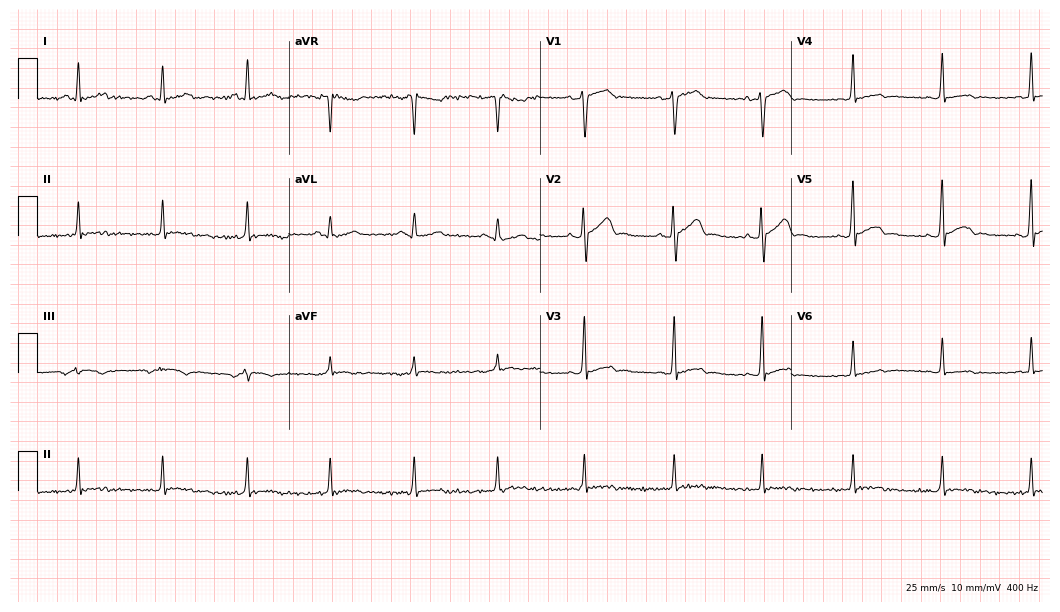
Electrocardiogram (10.2-second recording at 400 Hz), a male patient, 27 years old. Overall reading on record: normal ECG.